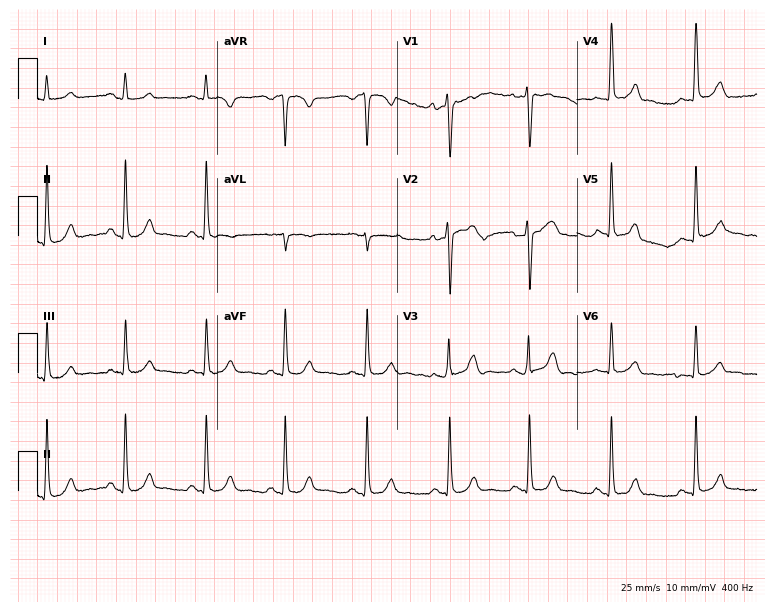
Electrocardiogram, a 22-year-old woman. Of the six screened findings (first-degree AV block, right bundle branch block, left bundle branch block, sinus bradycardia, atrial fibrillation, sinus tachycardia), none is recorded.